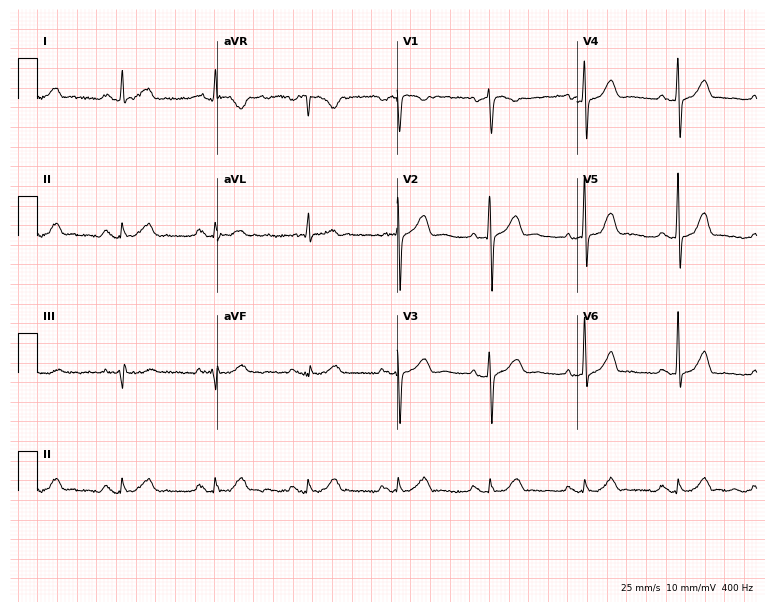
Resting 12-lead electrocardiogram. Patient: a male, 76 years old. None of these six findings is recorded: first-degree AV block, right bundle branch block, left bundle branch block, sinus bradycardia, atrial fibrillation, sinus tachycardia.